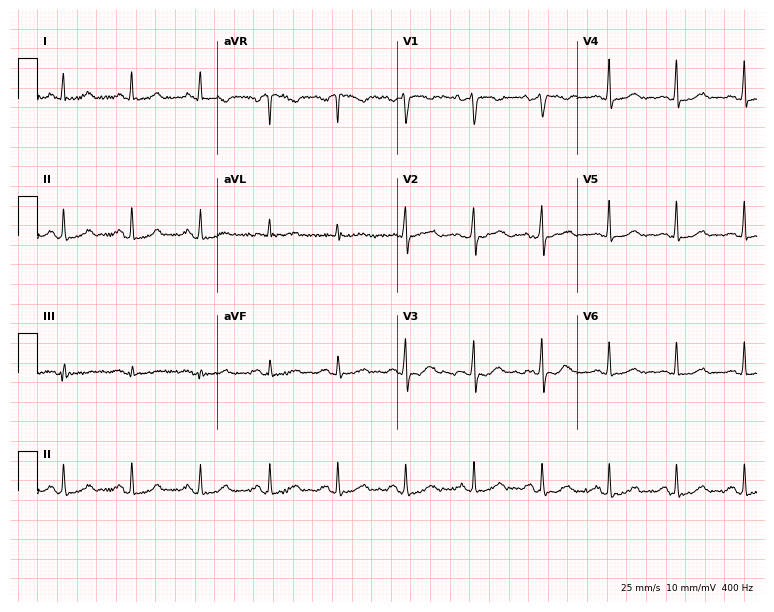
Resting 12-lead electrocardiogram (7.3-second recording at 400 Hz). Patient: a 36-year-old female. Read as a normal ECG.